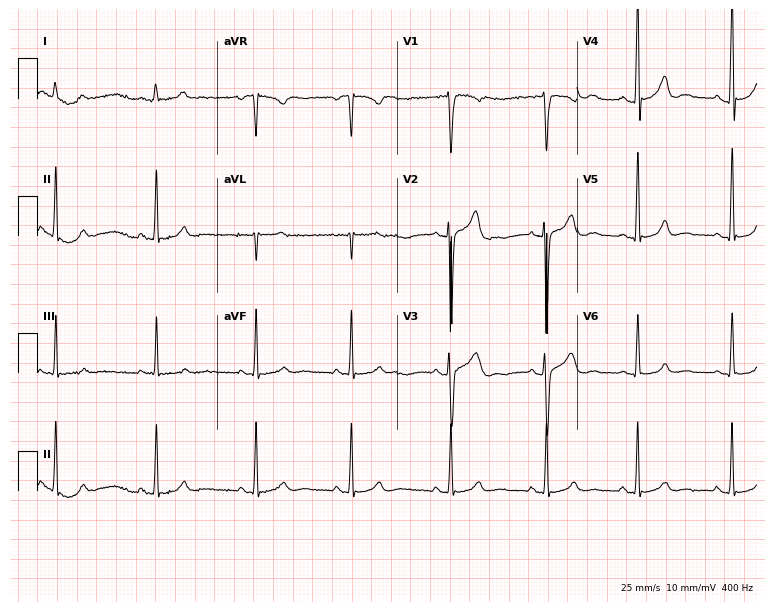
ECG — a 22-year-old male patient. Labelled as a normal ECG.